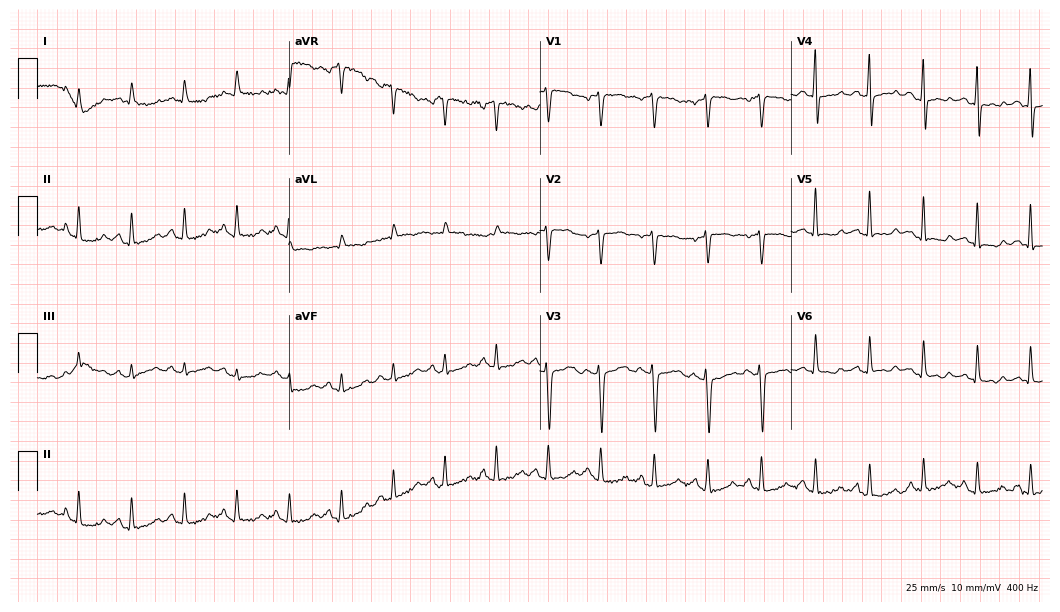
Standard 12-lead ECG recorded from a 56-year-old female patient (10.2-second recording at 400 Hz). None of these six findings is recorded: first-degree AV block, right bundle branch block (RBBB), left bundle branch block (LBBB), sinus bradycardia, atrial fibrillation (AF), sinus tachycardia.